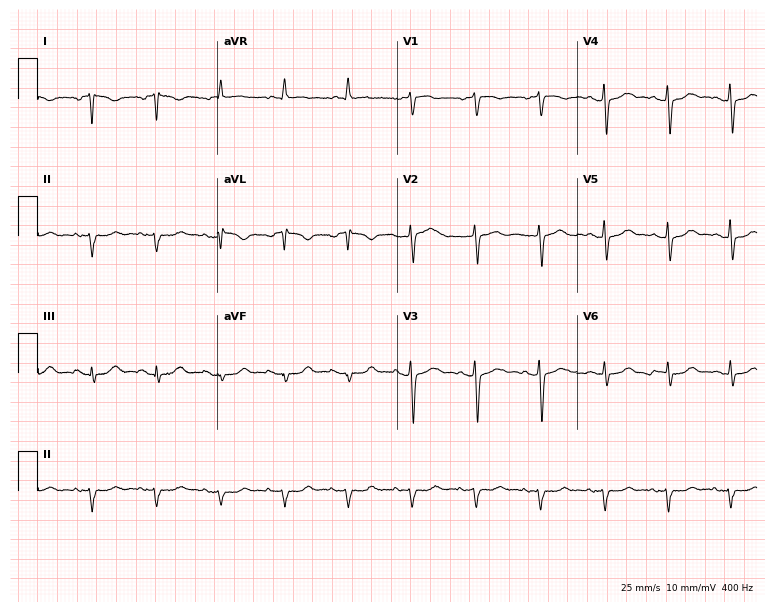
12-lead ECG from a female, 57 years old. No first-degree AV block, right bundle branch block (RBBB), left bundle branch block (LBBB), sinus bradycardia, atrial fibrillation (AF) or sinus tachycardia recorded for this tracing. Other findings, if any, are not listed.